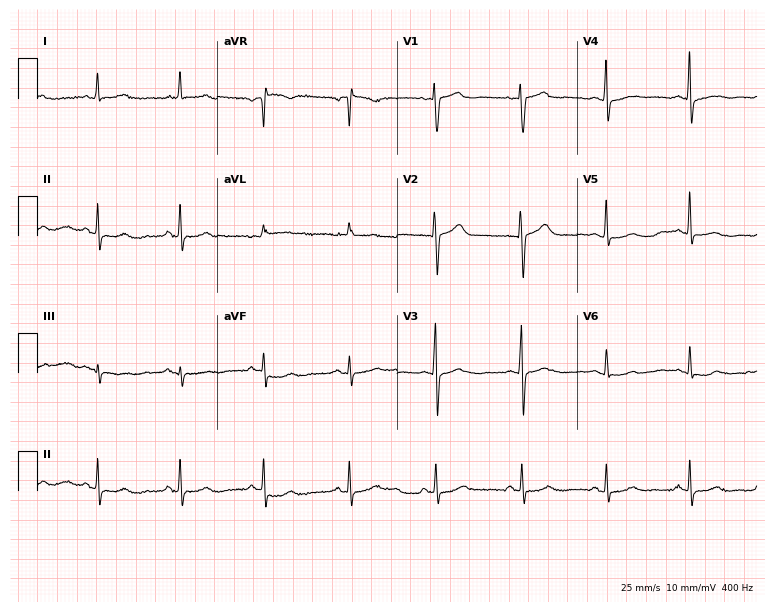
ECG (7.3-second recording at 400 Hz) — a female patient, 74 years old. Screened for six findings — first-degree AV block, right bundle branch block, left bundle branch block, sinus bradycardia, atrial fibrillation, sinus tachycardia — none is recorded.